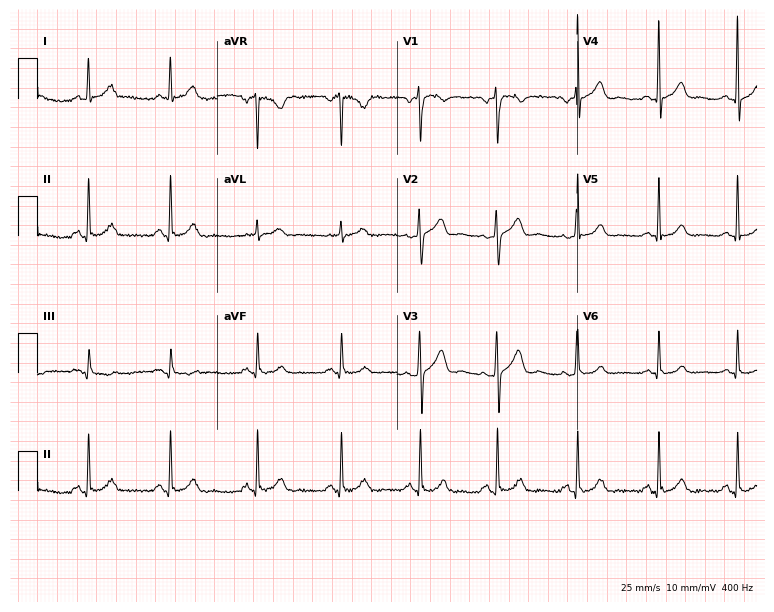
Electrocardiogram (7.3-second recording at 400 Hz), a 45-year-old woman. Of the six screened findings (first-degree AV block, right bundle branch block, left bundle branch block, sinus bradycardia, atrial fibrillation, sinus tachycardia), none is recorded. Findings outside these six are not listed.